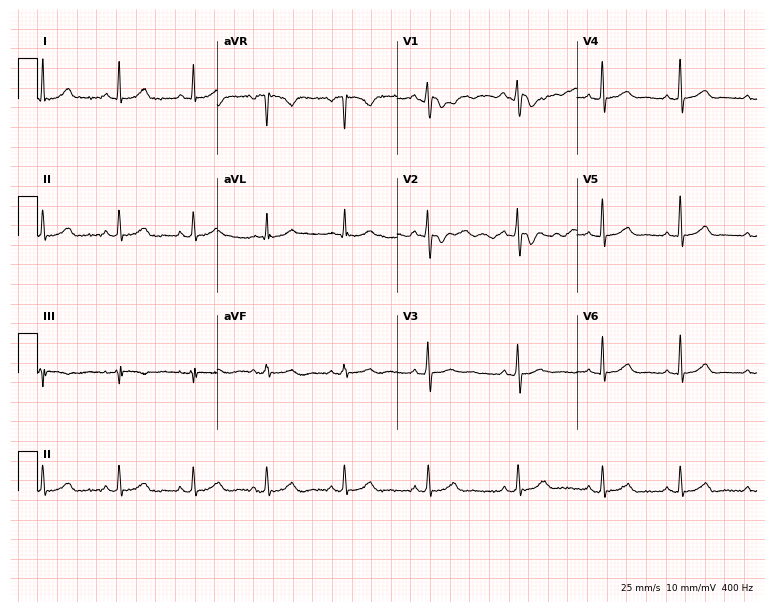
Electrocardiogram, a female patient, 29 years old. Overall reading on record: normal ECG.